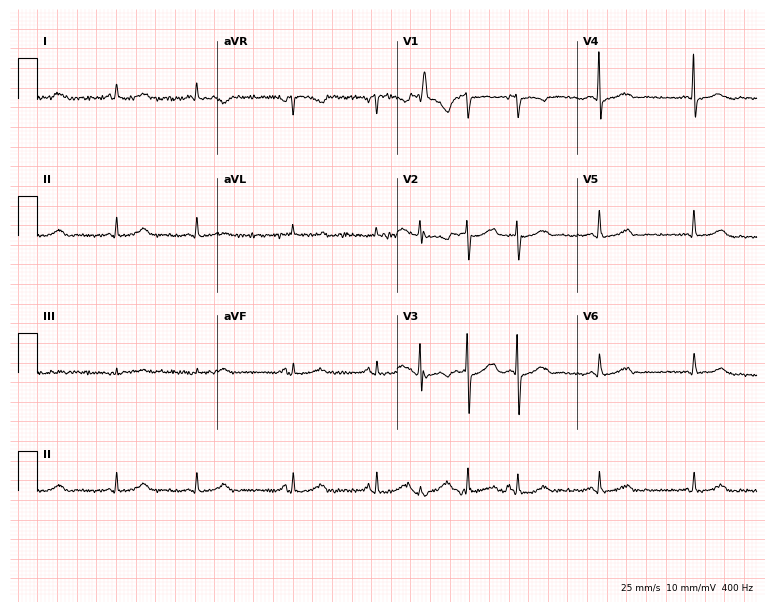
Resting 12-lead electrocardiogram (7.3-second recording at 400 Hz). Patient: a woman, 70 years old. Read as a normal ECG.